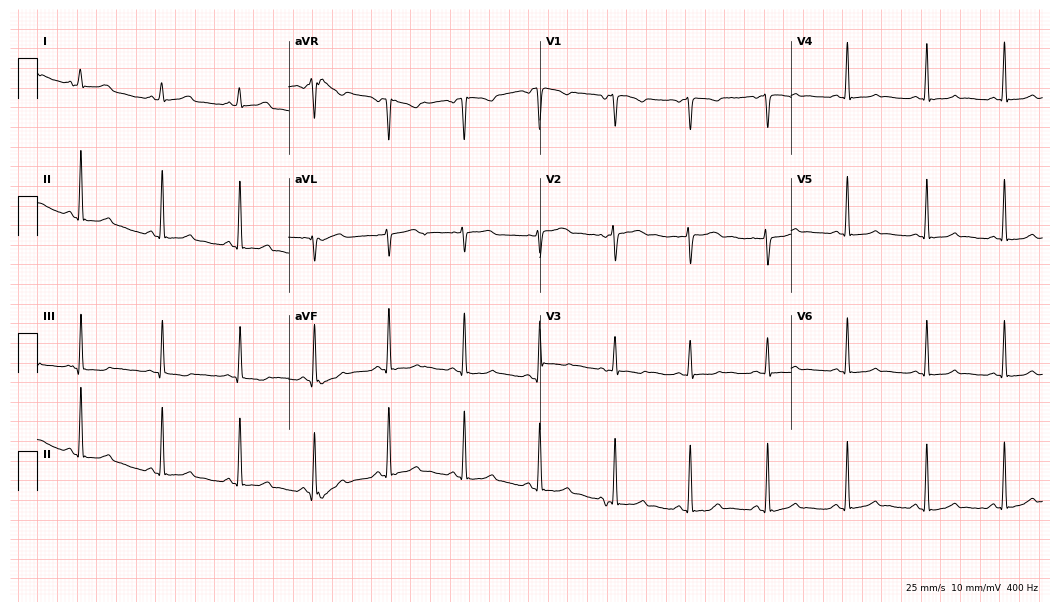
Standard 12-lead ECG recorded from a 29-year-old woman. None of these six findings is recorded: first-degree AV block, right bundle branch block, left bundle branch block, sinus bradycardia, atrial fibrillation, sinus tachycardia.